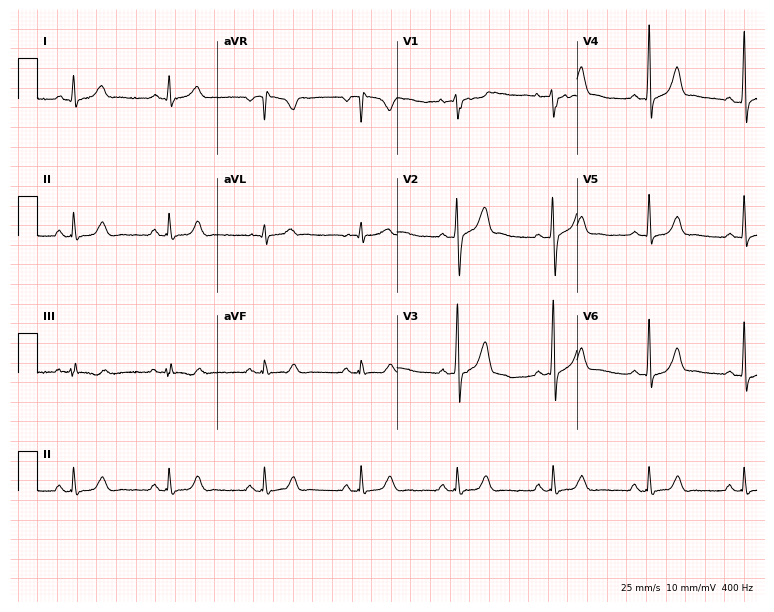
Standard 12-lead ECG recorded from a male patient, 51 years old. Read as a normal ECG.